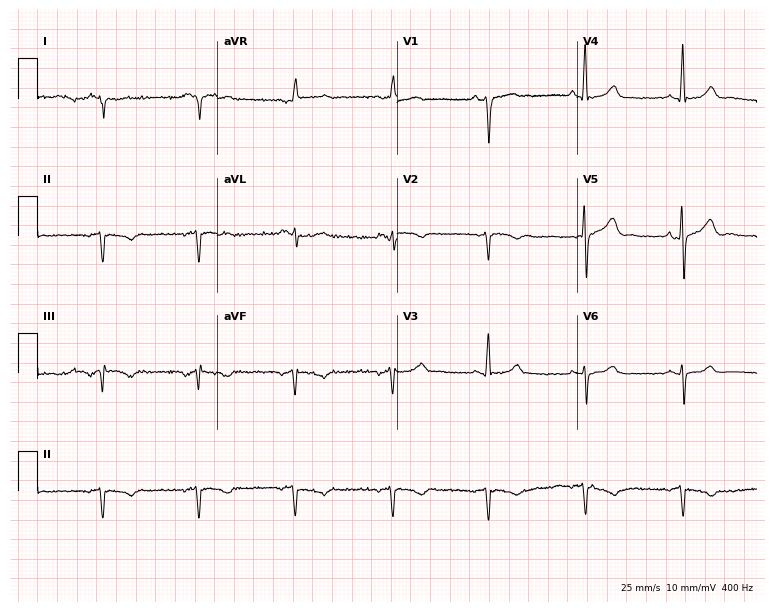
Standard 12-lead ECG recorded from a male, 83 years old (7.3-second recording at 400 Hz). None of these six findings is recorded: first-degree AV block, right bundle branch block, left bundle branch block, sinus bradycardia, atrial fibrillation, sinus tachycardia. Findings outside these six are not listed.